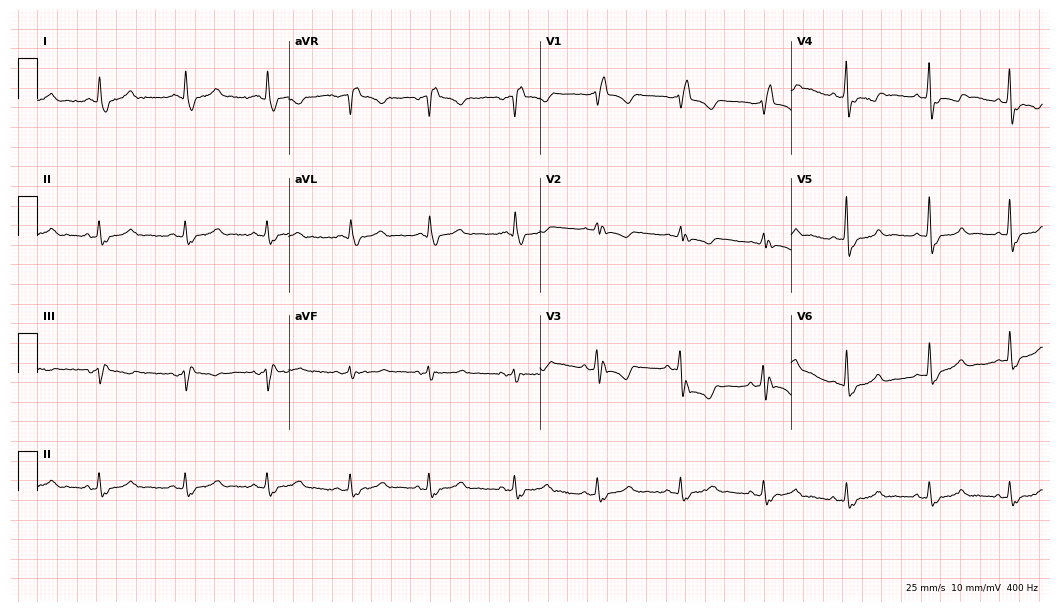
12-lead ECG from an 80-year-old woman. Findings include right bundle branch block.